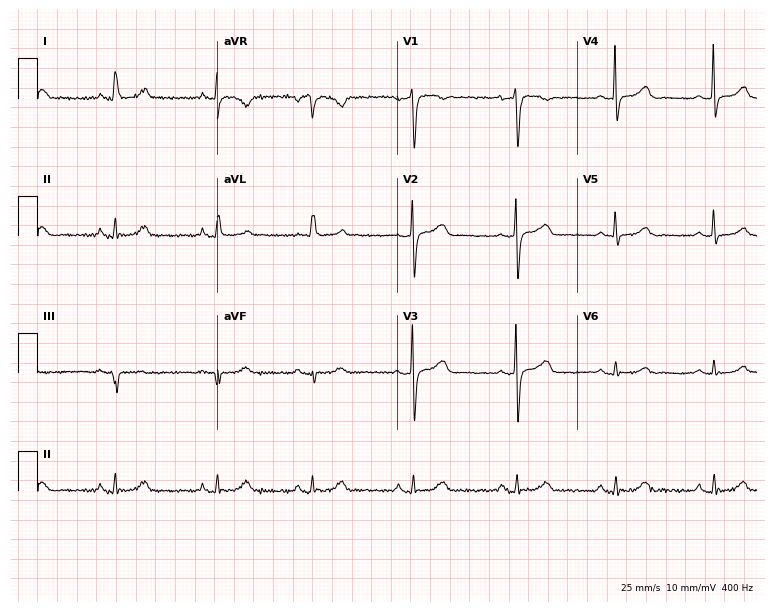
Standard 12-lead ECG recorded from a woman, 61 years old (7.3-second recording at 400 Hz). Read as a normal ECG.